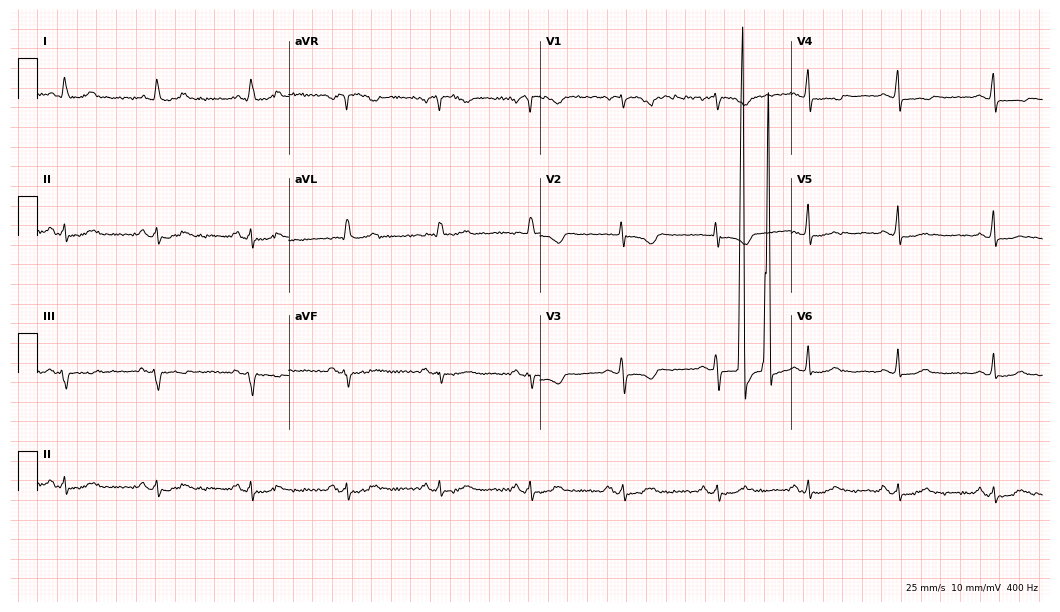
12-lead ECG from a 74-year-old female. Screened for six findings — first-degree AV block, right bundle branch block, left bundle branch block, sinus bradycardia, atrial fibrillation, sinus tachycardia — none is recorded.